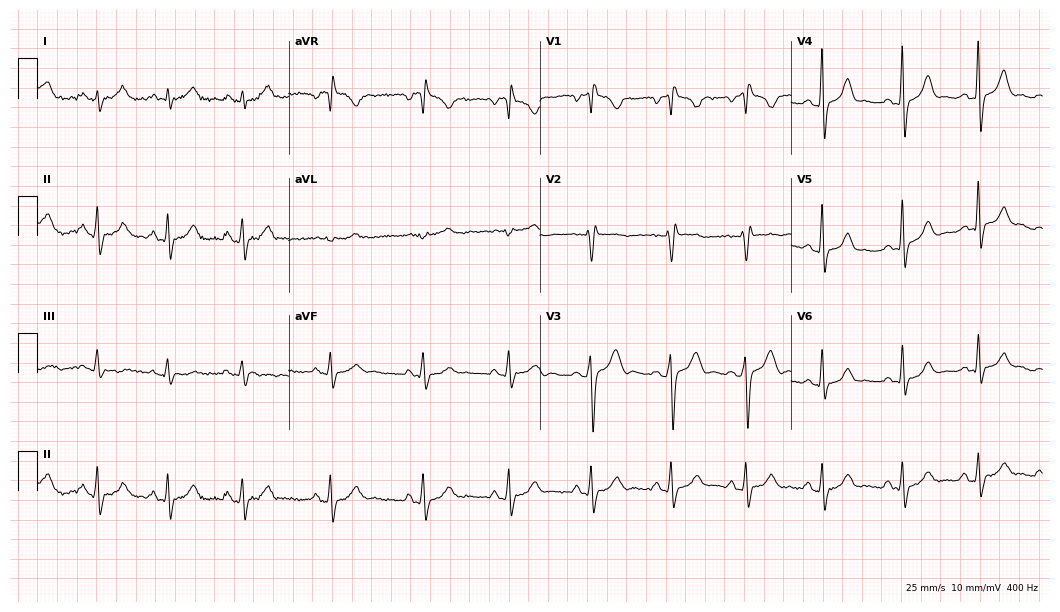
ECG — a man, 24 years old. Findings include right bundle branch block (RBBB).